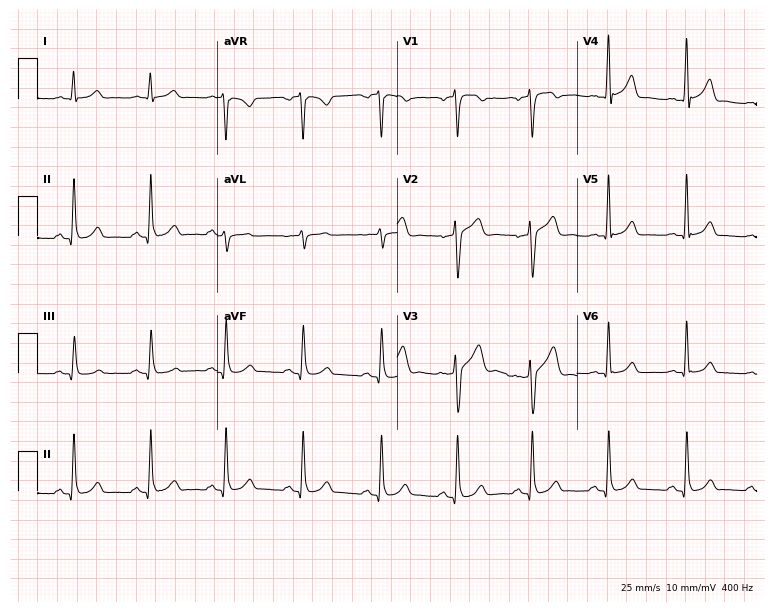
12-lead ECG from a 43-year-old male patient. No first-degree AV block, right bundle branch block (RBBB), left bundle branch block (LBBB), sinus bradycardia, atrial fibrillation (AF) or sinus tachycardia recorded for this tracing. Only these six findings were labelled.